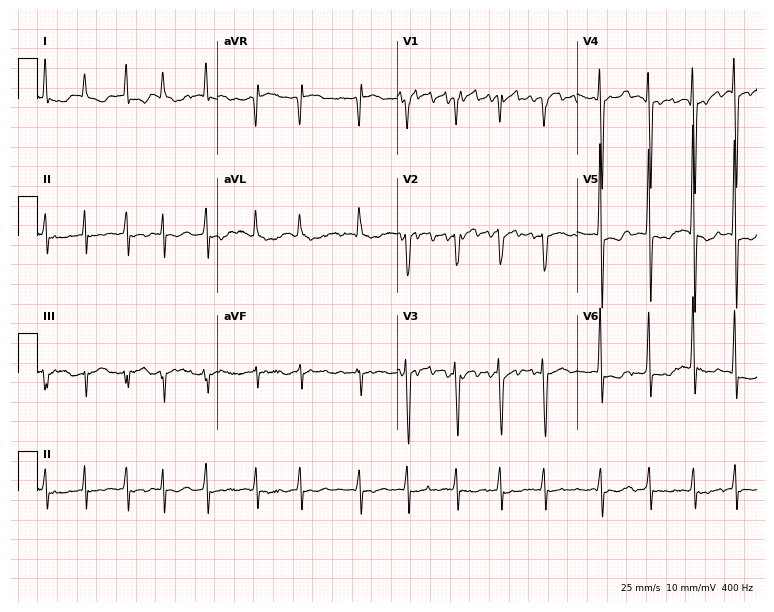
Resting 12-lead electrocardiogram (7.3-second recording at 400 Hz). Patient: an 82-year-old female. The tracing shows atrial fibrillation (AF).